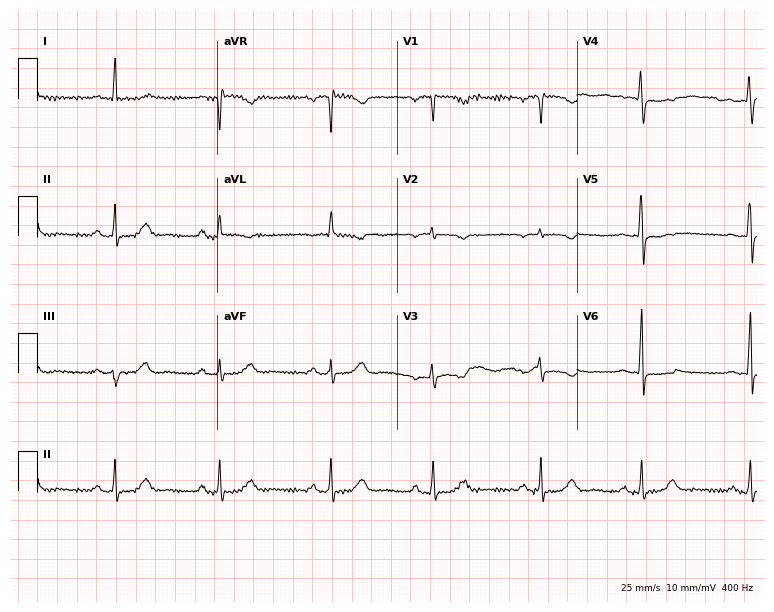
Standard 12-lead ECG recorded from a woman, 70 years old. None of these six findings is recorded: first-degree AV block, right bundle branch block, left bundle branch block, sinus bradycardia, atrial fibrillation, sinus tachycardia. Other findings, if any, are not listed.